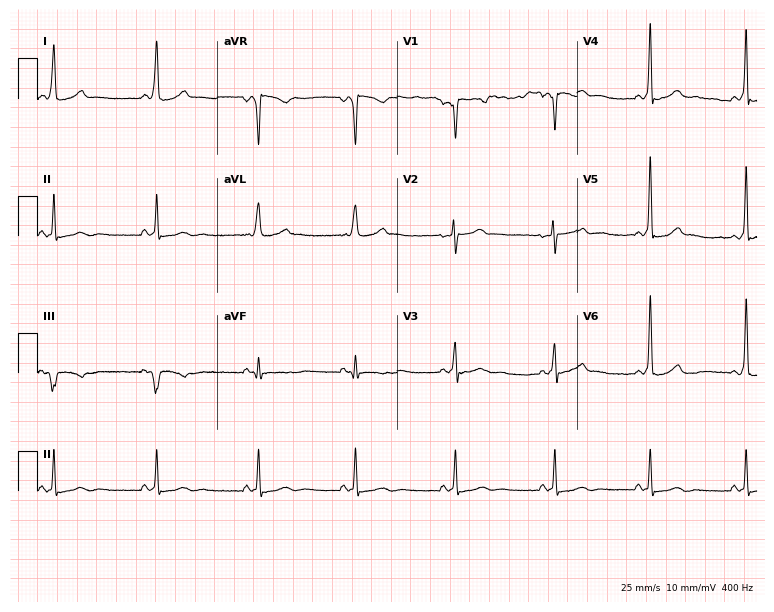
Electrocardiogram (7.3-second recording at 400 Hz), a 39-year-old female. Of the six screened findings (first-degree AV block, right bundle branch block (RBBB), left bundle branch block (LBBB), sinus bradycardia, atrial fibrillation (AF), sinus tachycardia), none is recorded. Findings outside these six are not listed.